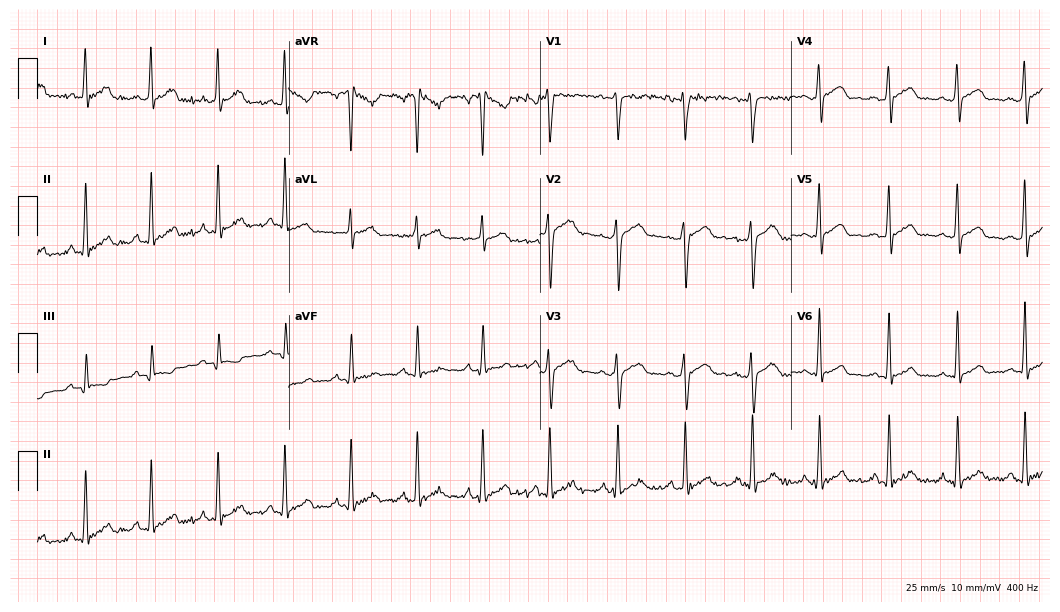
12-lead ECG from a male, 30 years old. Recorded interpretation: within normal limits.